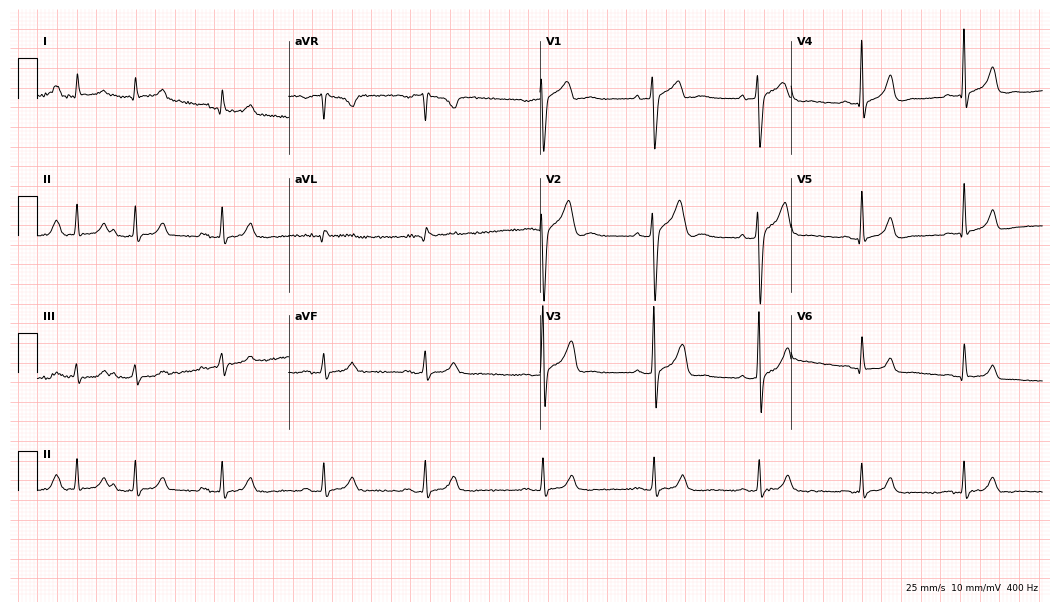
Resting 12-lead electrocardiogram (10.2-second recording at 400 Hz). Patient: a 26-year-old male. None of these six findings is recorded: first-degree AV block, right bundle branch block (RBBB), left bundle branch block (LBBB), sinus bradycardia, atrial fibrillation (AF), sinus tachycardia.